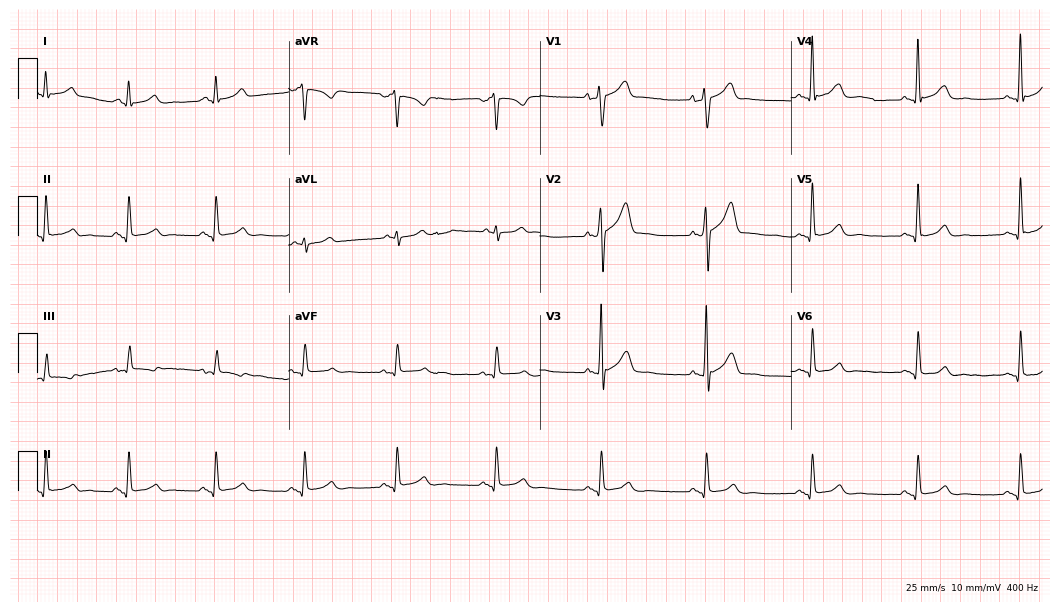
Standard 12-lead ECG recorded from a male patient, 50 years old. Read as a normal ECG.